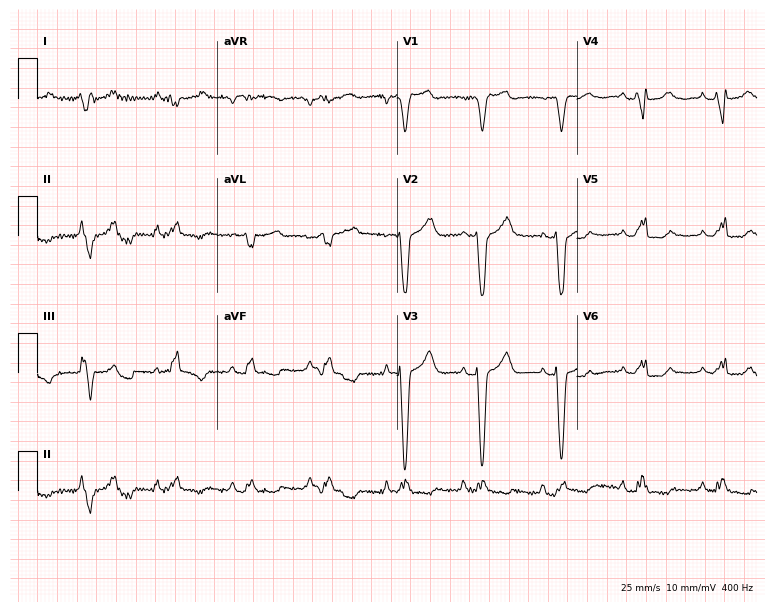
Resting 12-lead electrocardiogram. Patient: a woman, 76 years old. The tracing shows left bundle branch block.